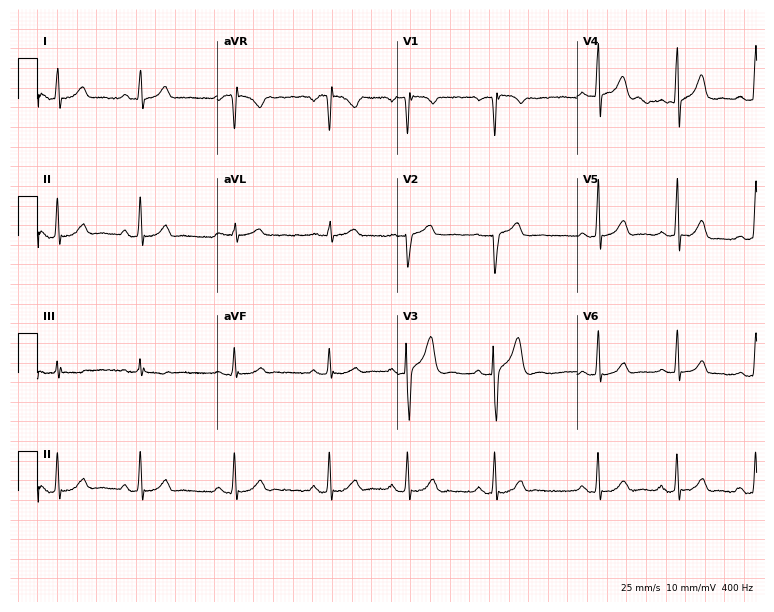
12-lead ECG from a male, 22 years old (7.3-second recording at 400 Hz). Recorded interpretation: within normal limits.